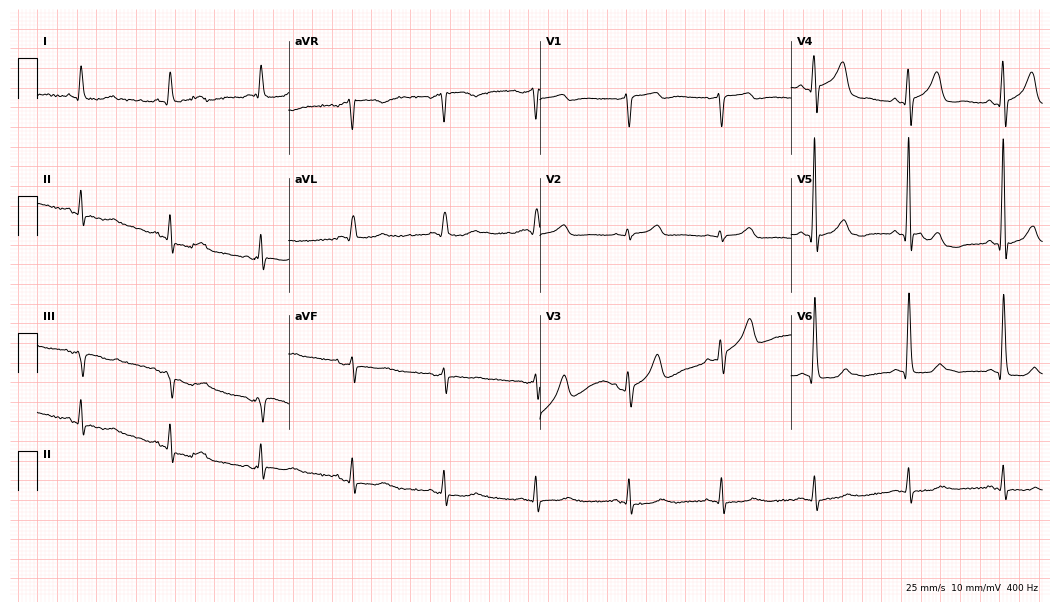
12-lead ECG from a female patient, 76 years old (10.2-second recording at 400 Hz). Recorded interpretation: within normal limits.